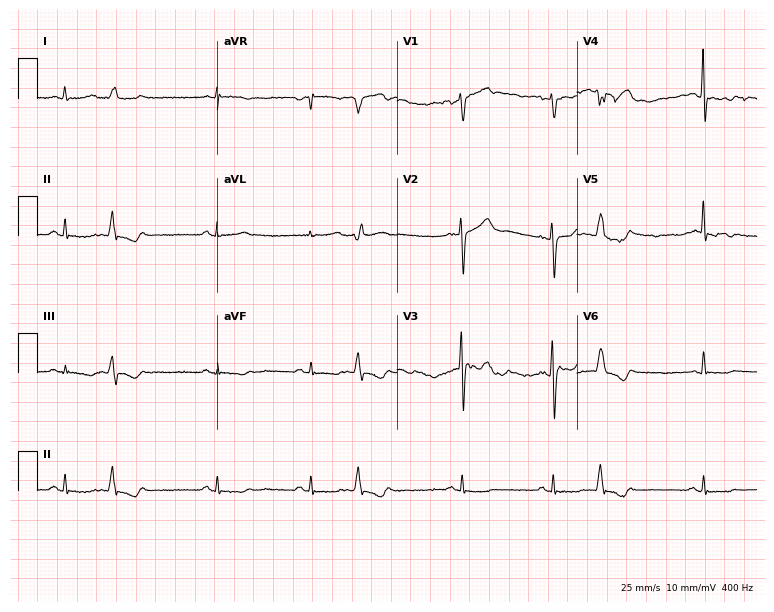
ECG — a male, 73 years old. Screened for six findings — first-degree AV block, right bundle branch block, left bundle branch block, sinus bradycardia, atrial fibrillation, sinus tachycardia — none is recorded.